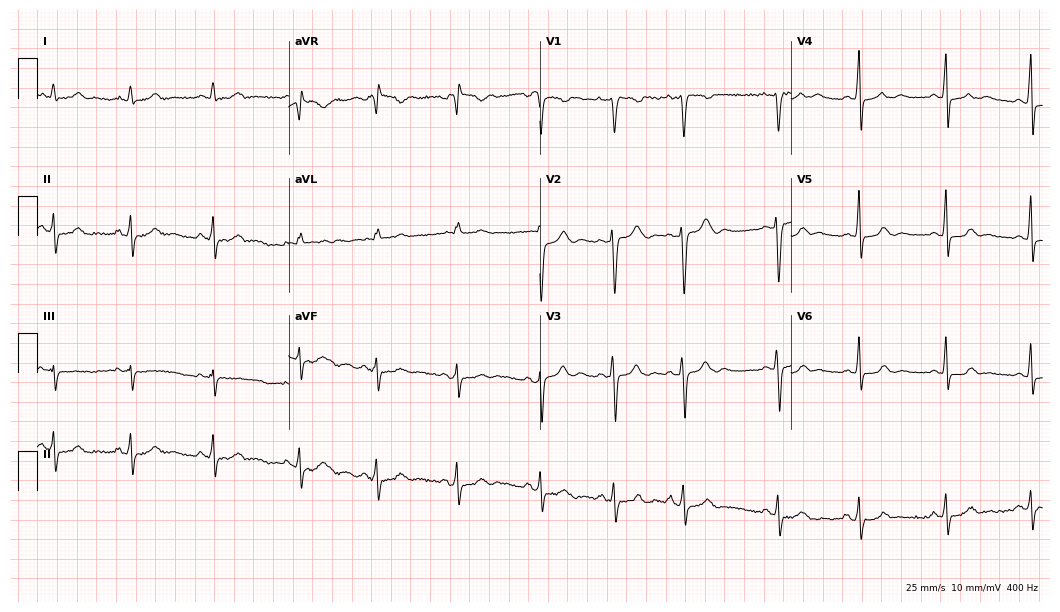
12-lead ECG from a 24-year-old woman. No first-degree AV block, right bundle branch block (RBBB), left bundle branch block (LBBB), sinus bradycardia, atrial fibrillation (AF) or sinus tachycardia recorded for this tracing. Other findings, if any, are not listed.